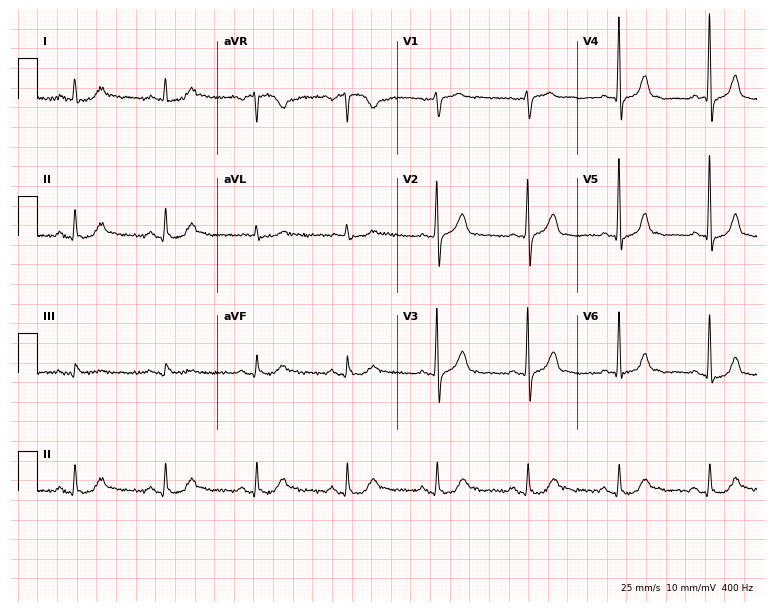
12-lead ECG (7.3-second recording at 400 Hz) from a 71-year-old man. Labelled as a normal ECG.